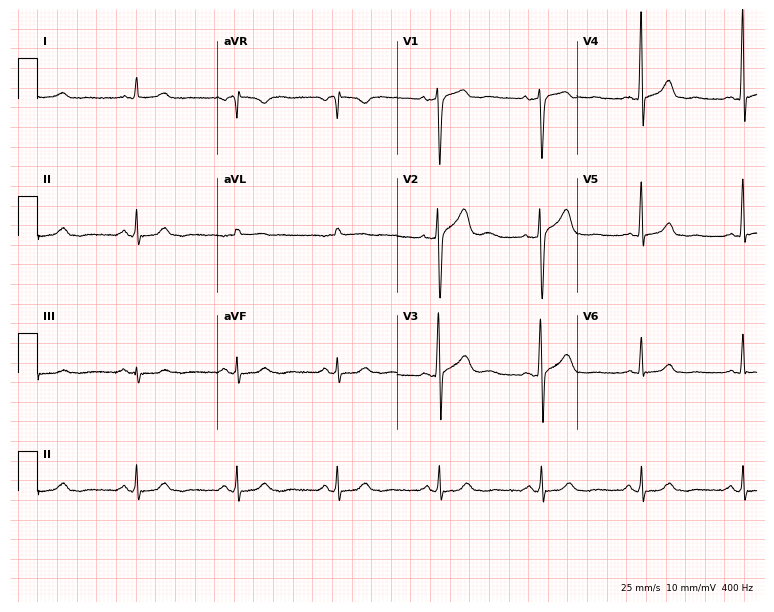
12-lead ECG (7.3-second recording at 400 Hz) from a male, 61 years old. Labelled as a normal ECG.